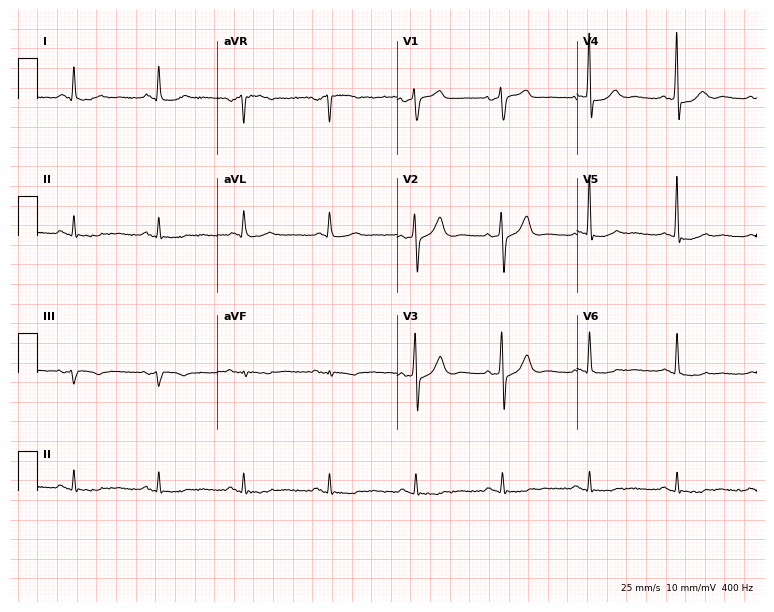
Resting 12-lead electrocardiogram (7.3-second recording at 400 Hz). Patient: a male, 64 years old. None of these six findings is recorded: first-degree AV block, right bundle branch block, left bundle branch block, sinus bradycardia, atrial fibrillation, sinus tachycardia. Other findings, if any, are not listed.